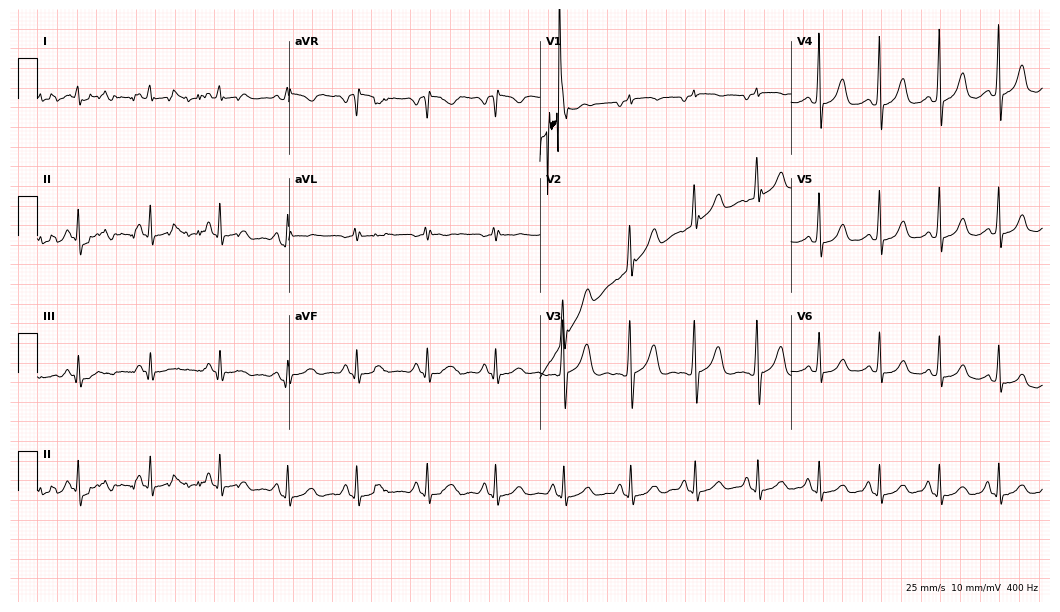
Resting 12-lead electrocardiogram (10.2-second recording at 400 Hz). Patient: a 25-year-old female. None of these six findings is recorded: first-degree AV block, right bundle branch block, left bundle branch block, sinus bradycardia, atrial fibrillation, sinus tachycardia. Findings outside these six are not listed.